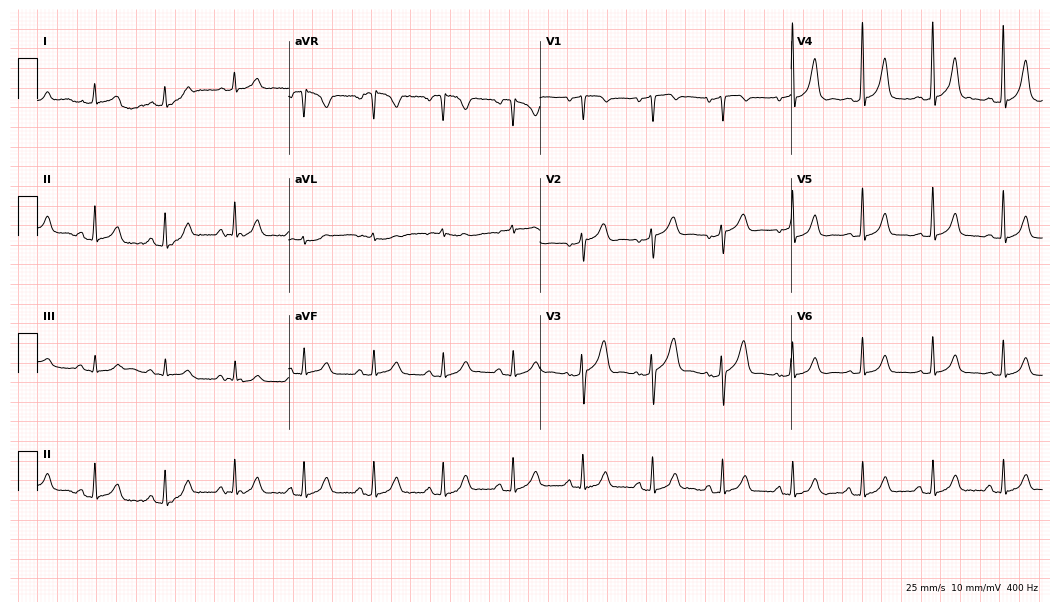
ECG — a 79-year-old female patient. Screened for six findings — first-degree AV block, right bundle branch block, left bundle branch block, sinus bradycardia, atrial fibrillation, sinus tachycardia — none is recorded.